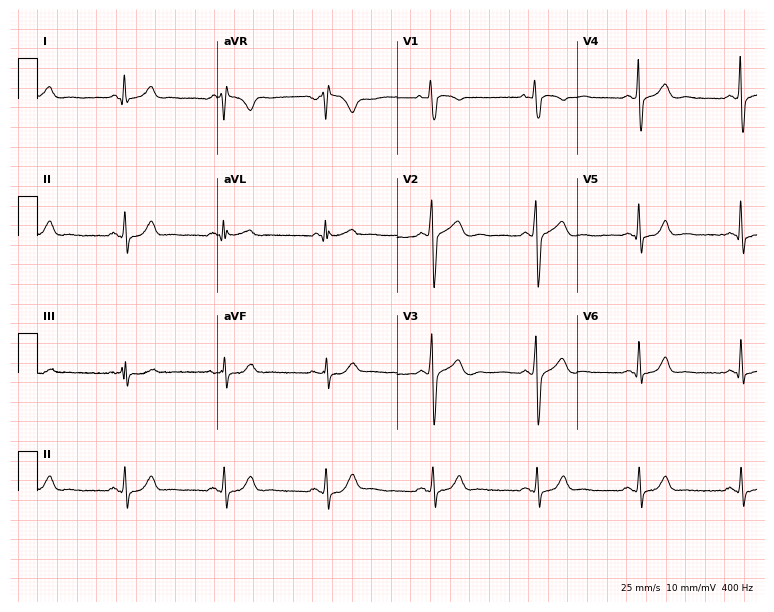
12-lead ECG from a 49-year-old male. Labelled as a normal ECG.